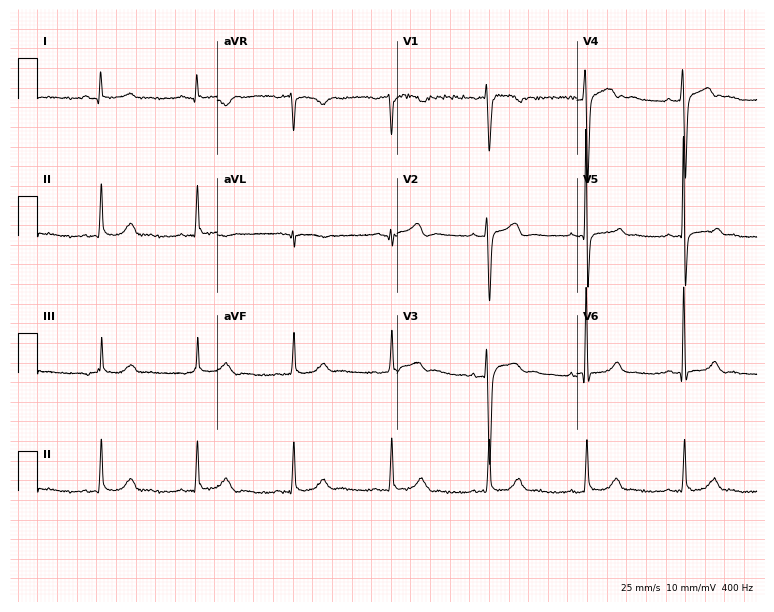
ECG — a 32-year-old woman. Labelled as a normal ECG.